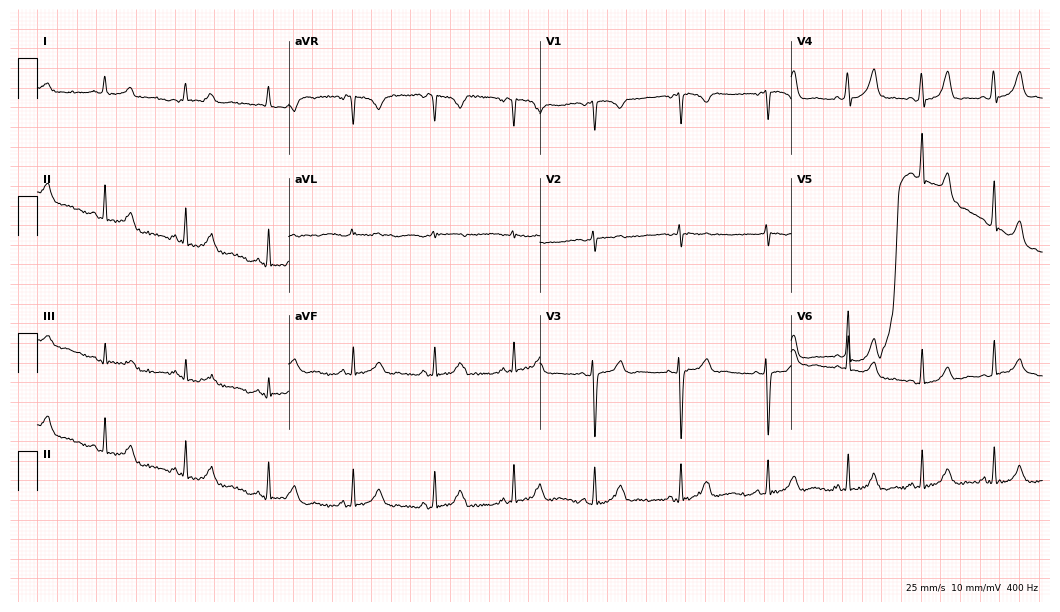
Standard 12-lead ECG recorded from a 22-year-old female patient. None of these six findings is recorded: first-degree AV block, right bundle branch block, left bundle branch block, sinus bradycardia, atrial fibrillation, sinus tachycardia.